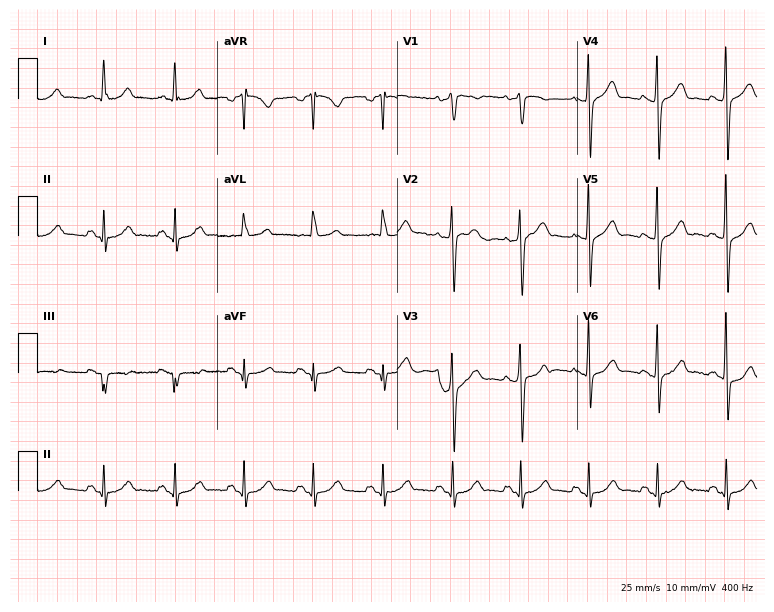
12-lead ECG from a man, 63 years old. Recorded interpretation: within normal limits.